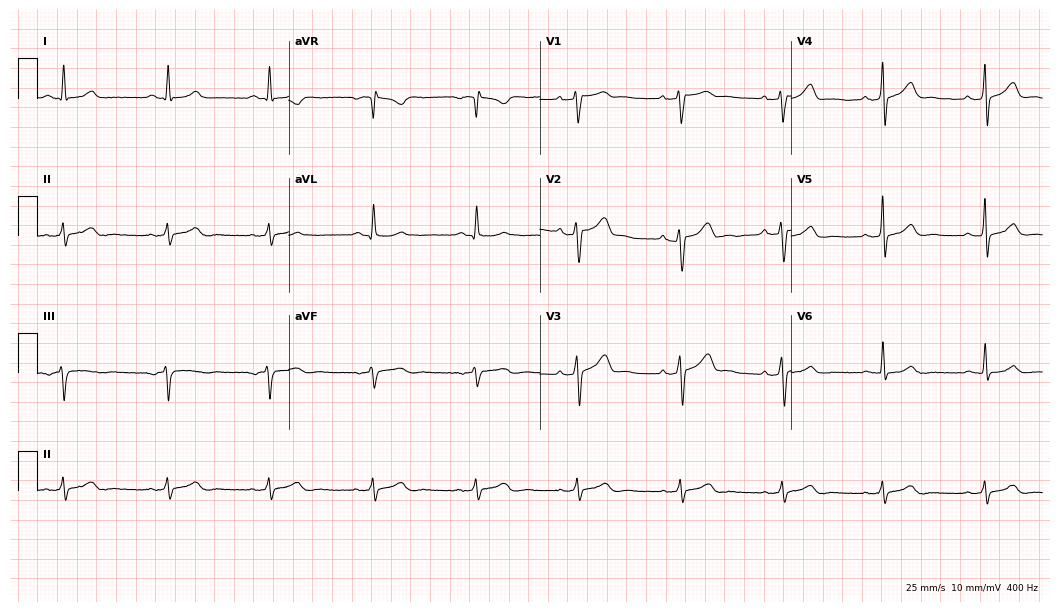
12-lead ECG from a man, 62 years old. Recorded interpretation: within normal limits.